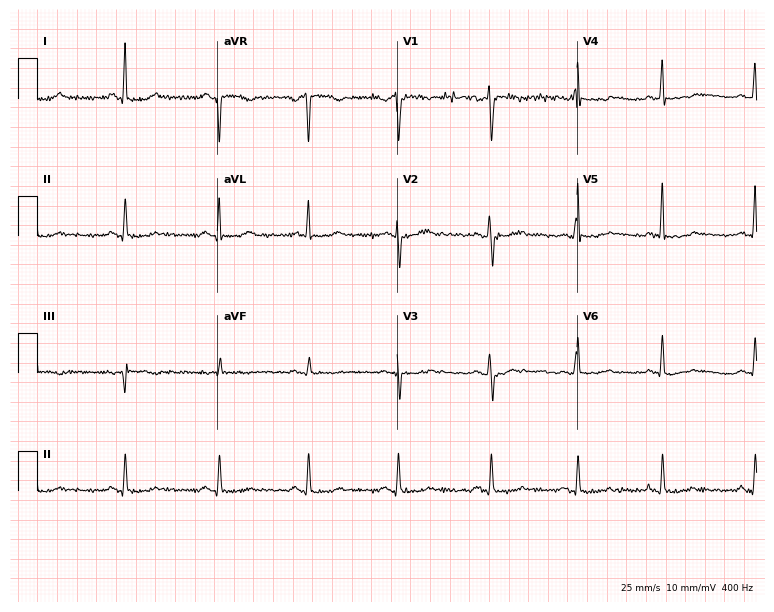
12-lead ECG from a female patient, 47 years old. No first-degree AV block, right bundle branch block (RBBB), left bundle branch block (LBBB), sinus bradycardia, atrial fibrillation (AF) or sinus tachycardia recorded for this tracing.